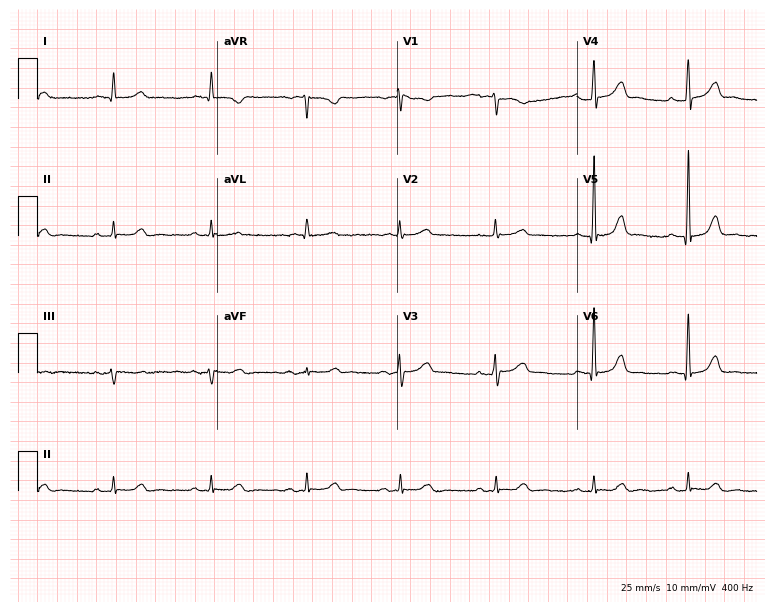
Resting 12-lead electrocardiogram. Patient: a 76-year-old woman. Read as a normal ECG.